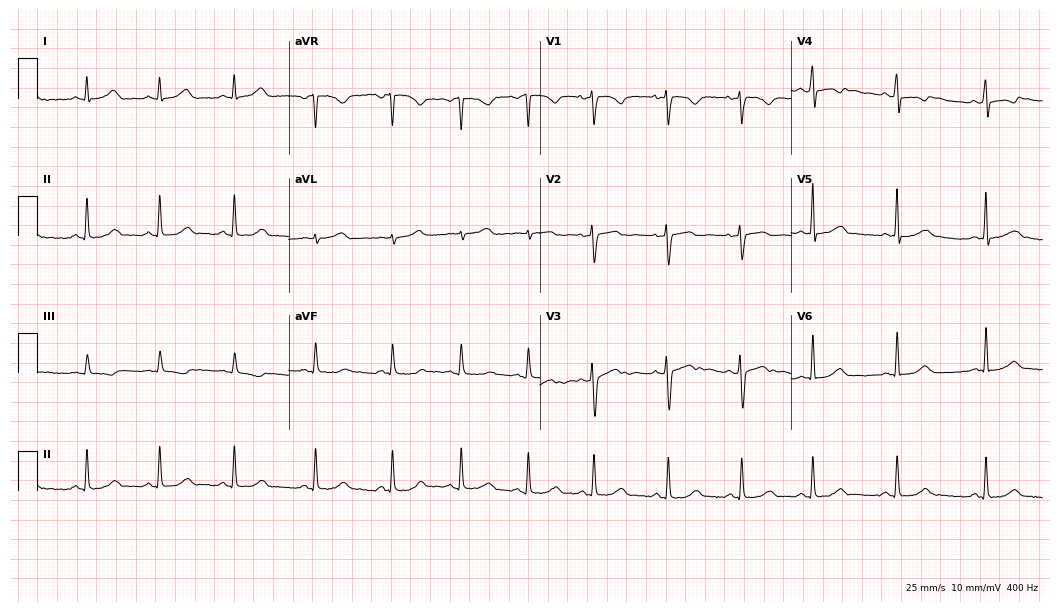
Electrocardiogram (10.2-second recording at 400 Hz), a female, 35 years old. Of the six screened findings (first-degree AV block, right bundle branch block (RBBB), left bundle branch block (LBBB), sinus bradycardia, atrial fibrillation (AF), sinus tachycardia), none is recorded.